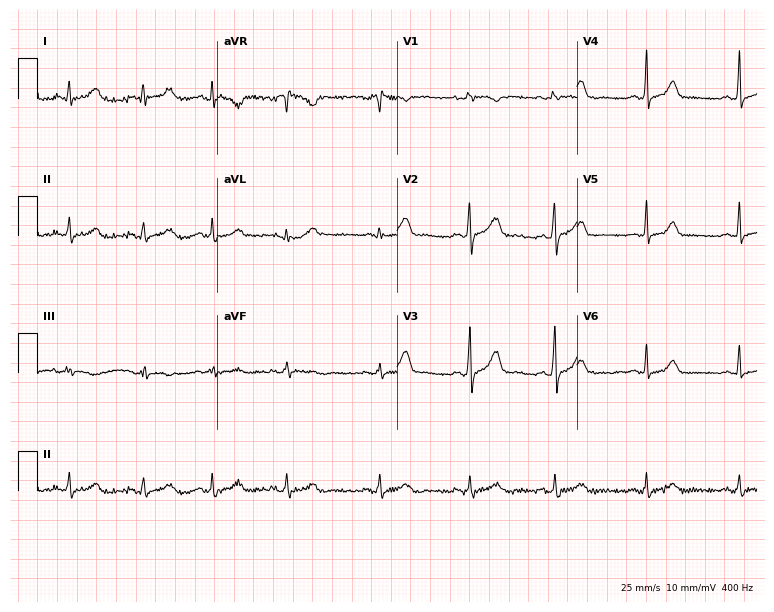
Resting 12-lead electrocardiogram (7.3-second recording at 400 Hz). Patient: a 21-year-old female. Read as a normal ECG.